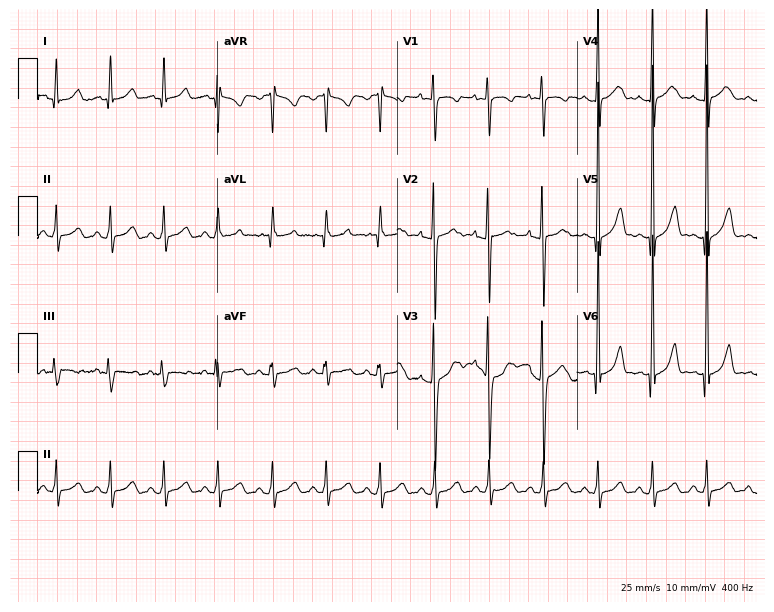
12-lead ECG from a male, 21 years old. Findings include sinus tachycardia (a sinus rate of 100 beats per minute or more).